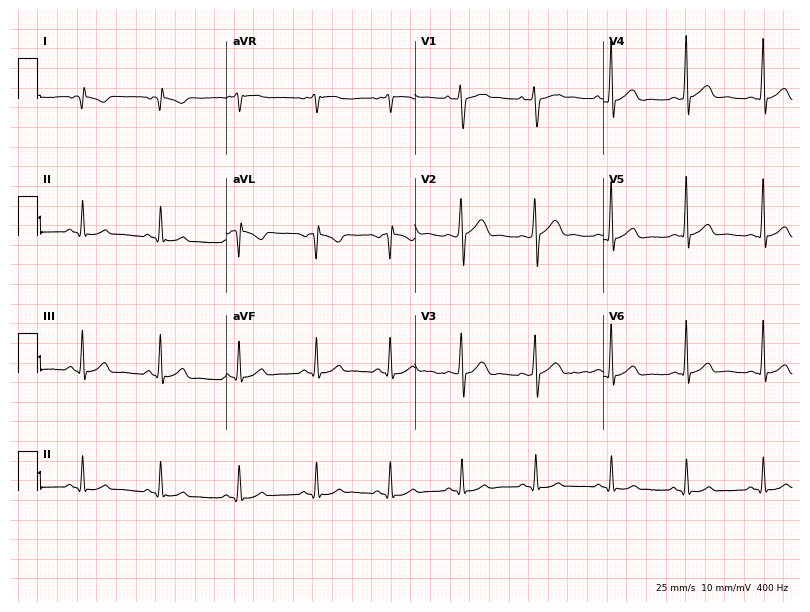
12-lead ECG from a male patient, 29 years old (7.7-second recording at 400 Hz). No first-degree AV block, right bundle branch block (RBBB), left bundle branch block (LBBB), sinus bradycardia, atrial fibrillation (AF) or sinus tachycardia recorded for this tracing. Only these six findings were labelled.